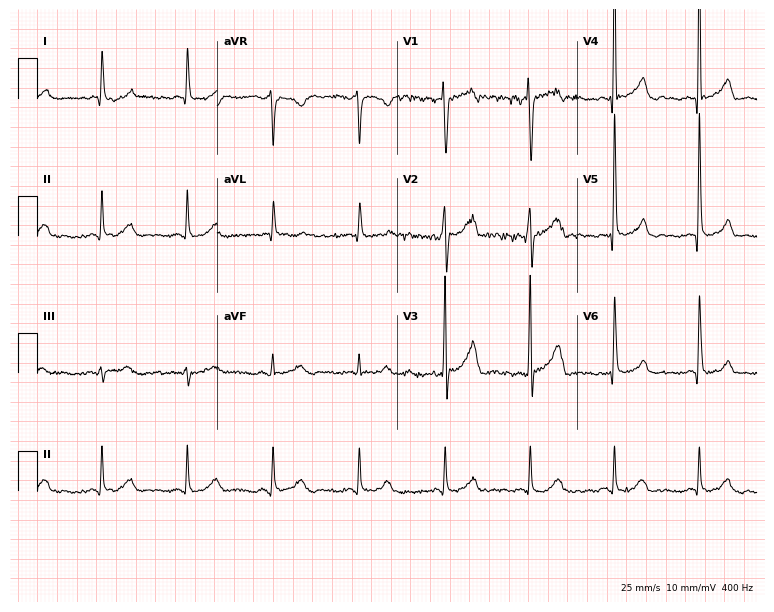
12-lead ECG from a male patient, 61 years old (7.3-second recording at 400 Hz). No first-degree AV block, right bundle branch block (RBBB), left bundle branch block (LBBB), sinus bradycardia, atrial fibrillation (AF) or sinus tachycardia recorded for this tracing. Only these six findings were labelled.